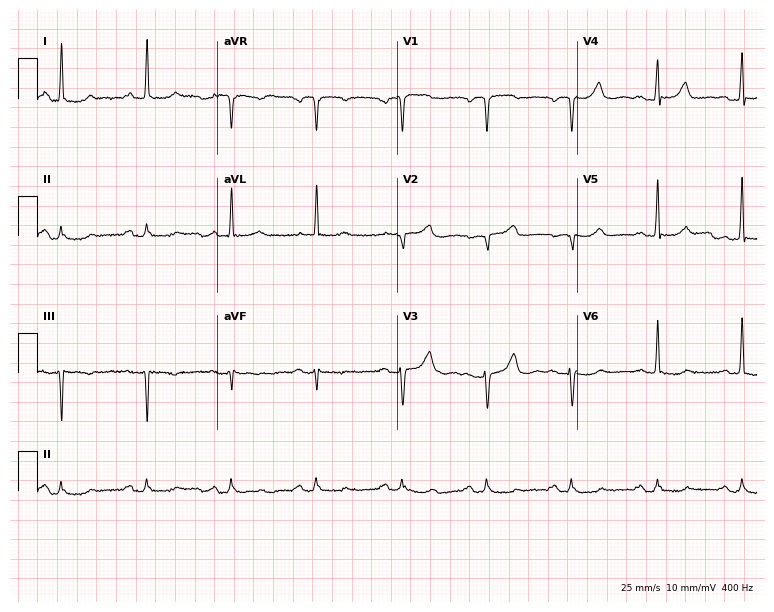
12-lead ECG from a 66-year-old woman. Screened for six findings — first-degree AV block, right bundle branch block, left bundle branch block, sinus bradycardia, atrial fibrillation, sinus tachycardia — none is recorded. Only these six findings were labelled.